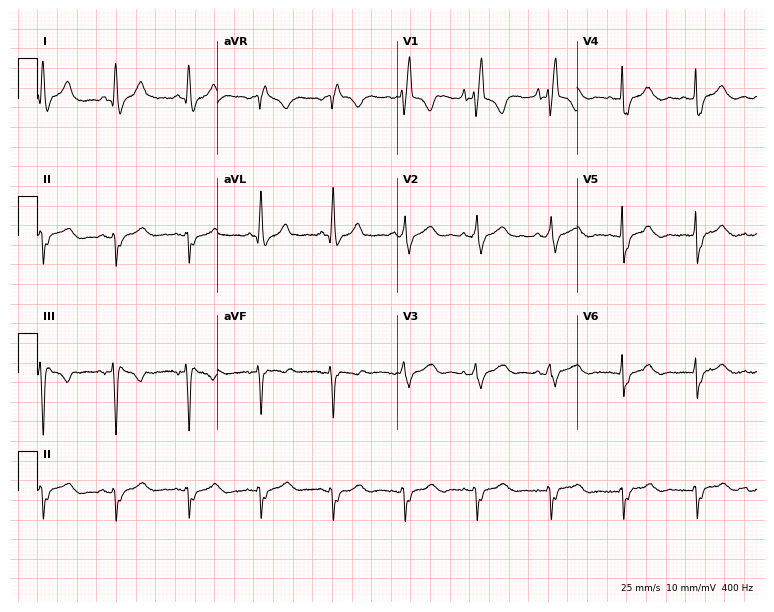
Resting 12-lead electrocardiogram. Patient: a 54-year-old man. The tracing shows right bundle branch block (RBBB).